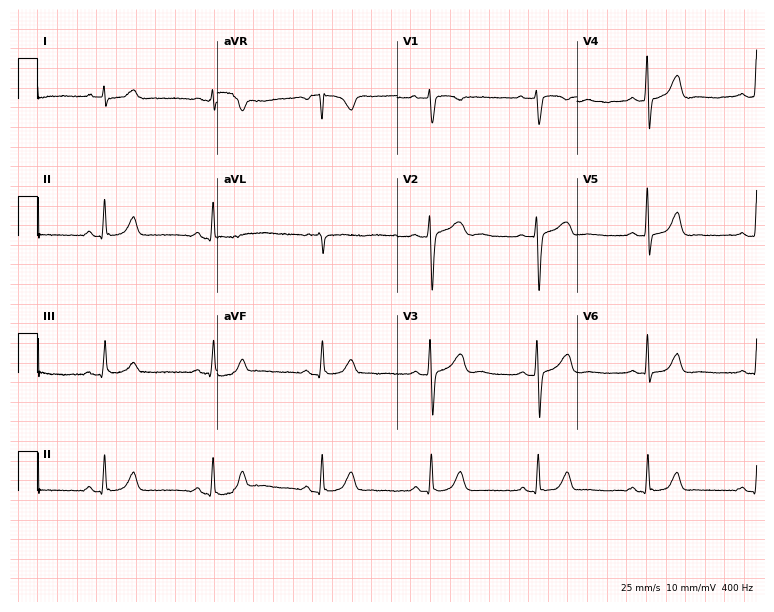
12-lead ECG from a female, 52 years old (7.3-second recording at 400 Hz). Recorded interpretation: within normal limits.